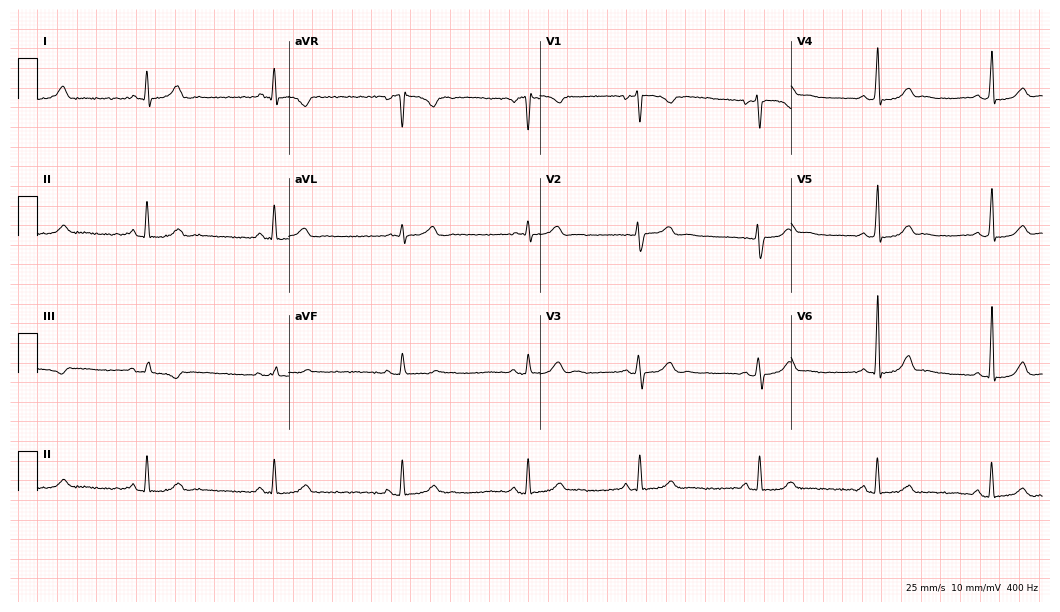
ECG — a female, 49 years old. Findings include sinus bradycardia (a sinus rate of 50 beats per minute or less).